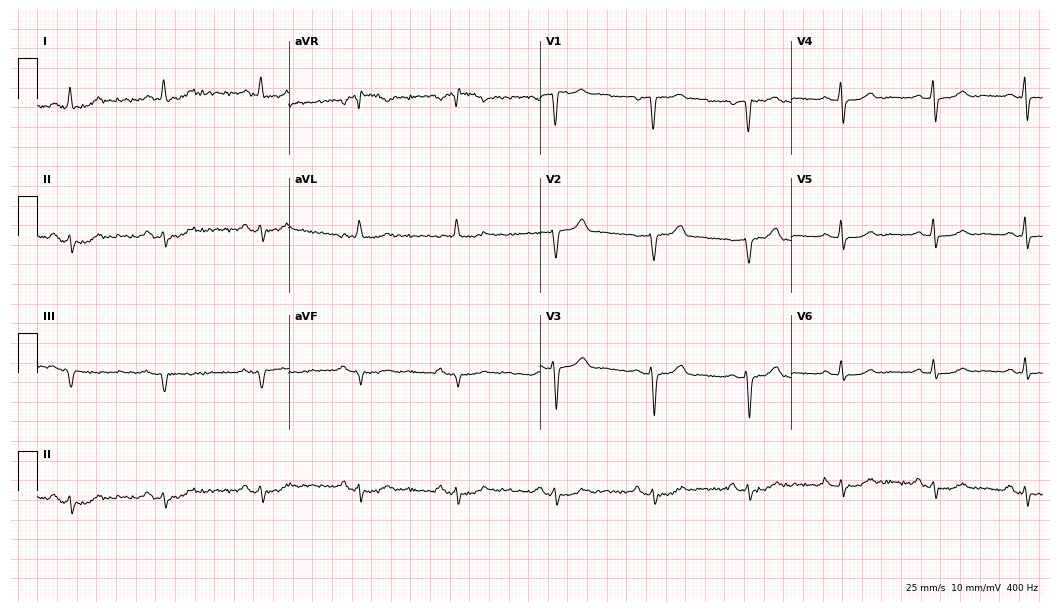
Electrocardiogram, a male, 70 years old. Of the six screened findings (first-degree AV block, right bundle branch block (RBBB), left bundle branch block (LBBB), sinus bradycardia, atrial fibrillation (AF), sinus tachycardia), none is recorded.